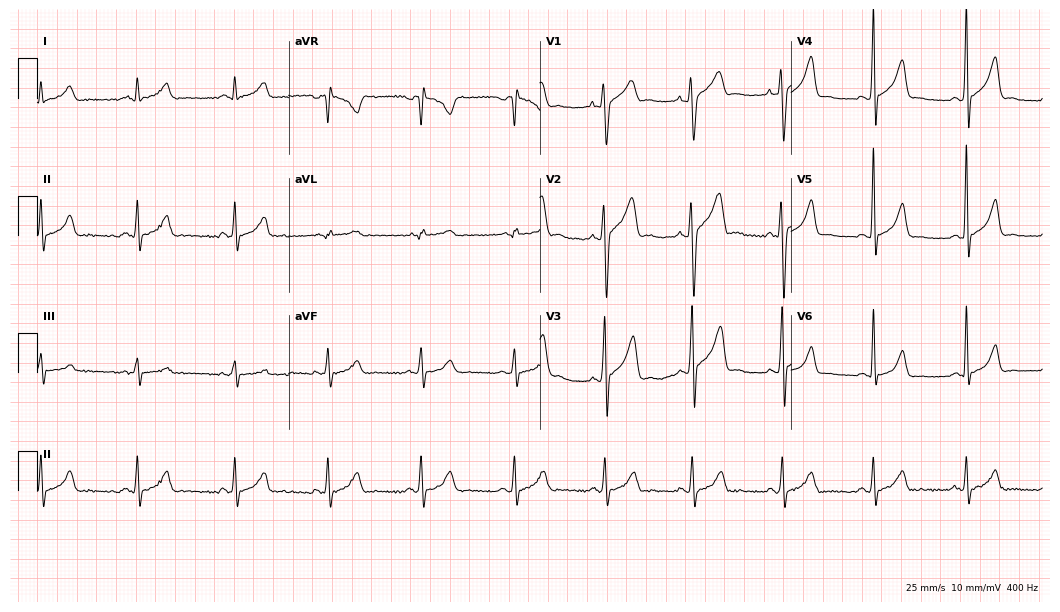
12-lead ECG from a 29-year-old man (10.2-second recording at 400 Hz). Recorded interpretation: within normal limits.